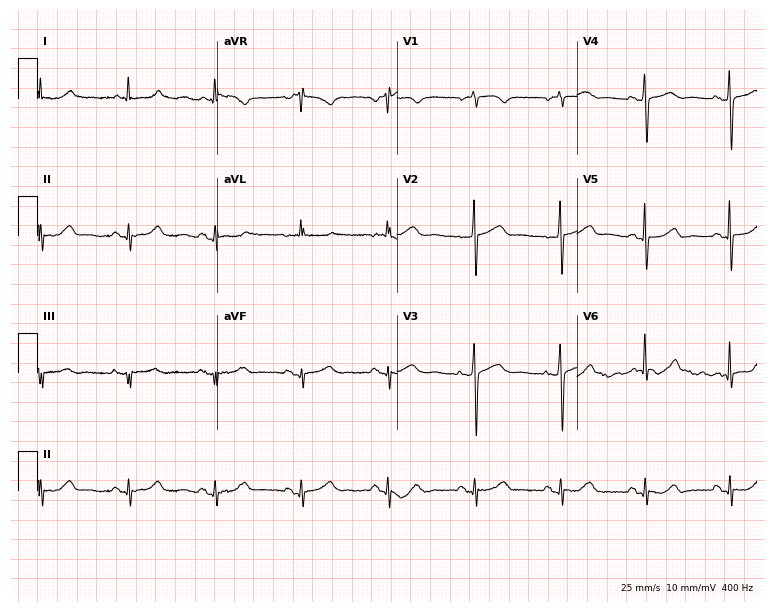
12-lead ECG from an 84-year-old woman. Recorded interpretation: within normal limits.